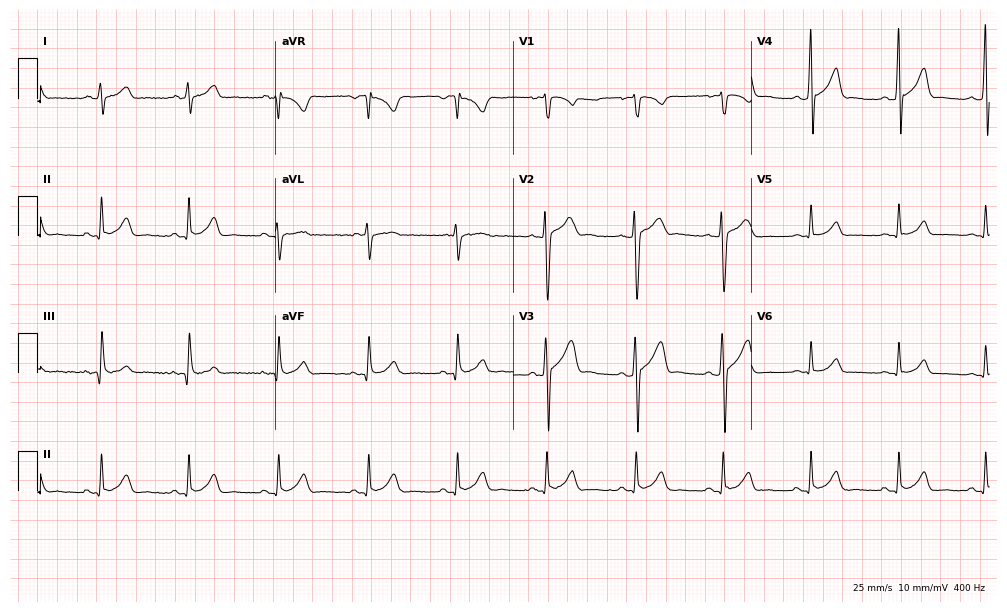
Standard 12-lead ECG recorded from a 27-year-old male (9.7-second recording at 400 Hz). Read as a normal ECG.